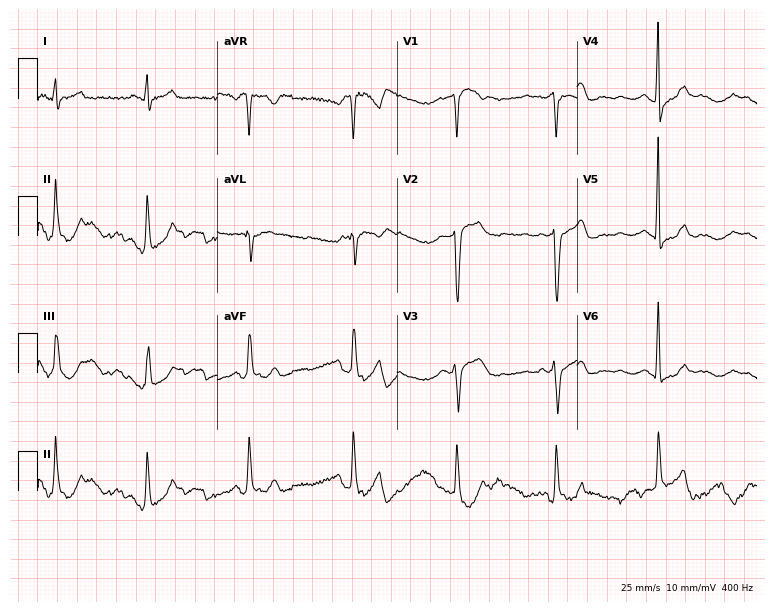
Resting 12-lead electrocardiogram (7.3-second recording at 400 Hz). Patient: a female, 30 years old. Read as a normal ECG.